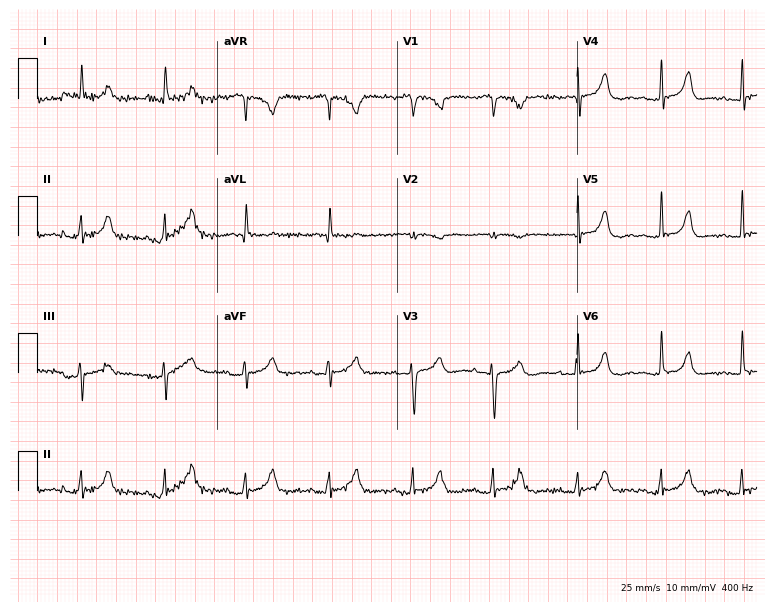
Standard 12-lead ECG recorded from a female patient, 74 years old. None of these six findings is recorded: first-degree AV block, right bundle branch block, left bundle branch block, sinus bradycardia, atrial fibrillation, sinus tachycardia.